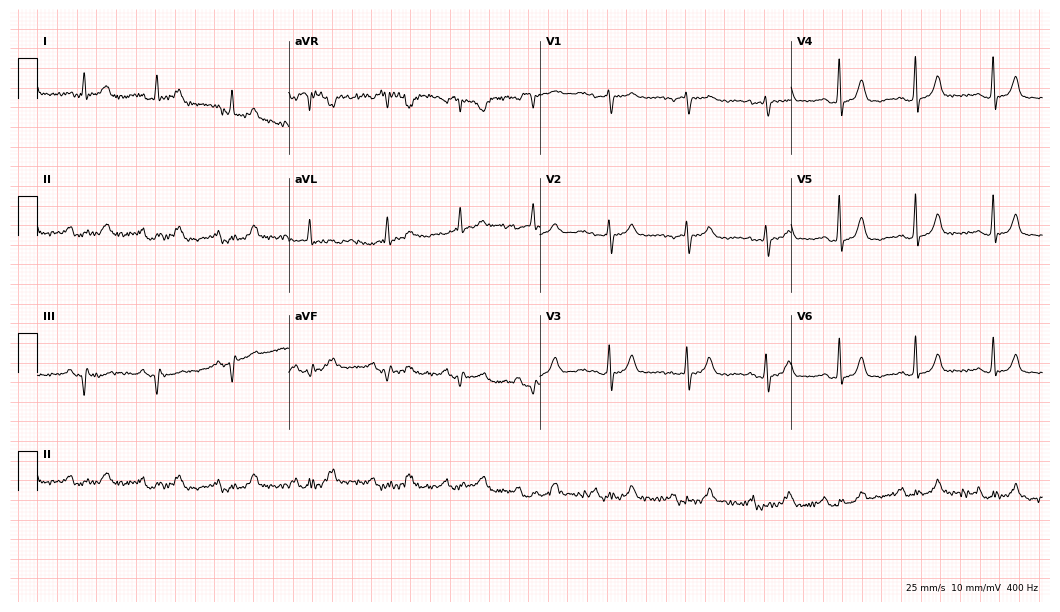
Electrocardiogram (10.2-second recording at 400 Hz), a female, 75 years old. Of the six screened findings (first-degree AV block, right bundle branch block, left bundle branch block, sinus bradycardia, atrial fibrillation, sinus tachycardia), none is recorded.